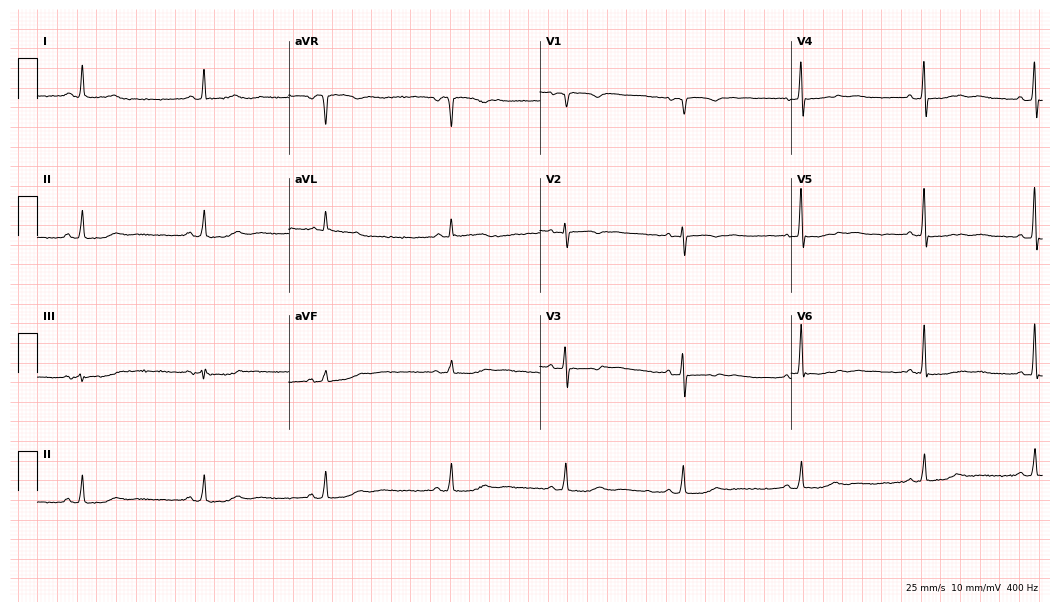
ECG (10.2-second recording at 400 Hz) — a woman, 79 years old. Findings include sinus bradycardia (a sinus rate of 50 beats per minute or less).